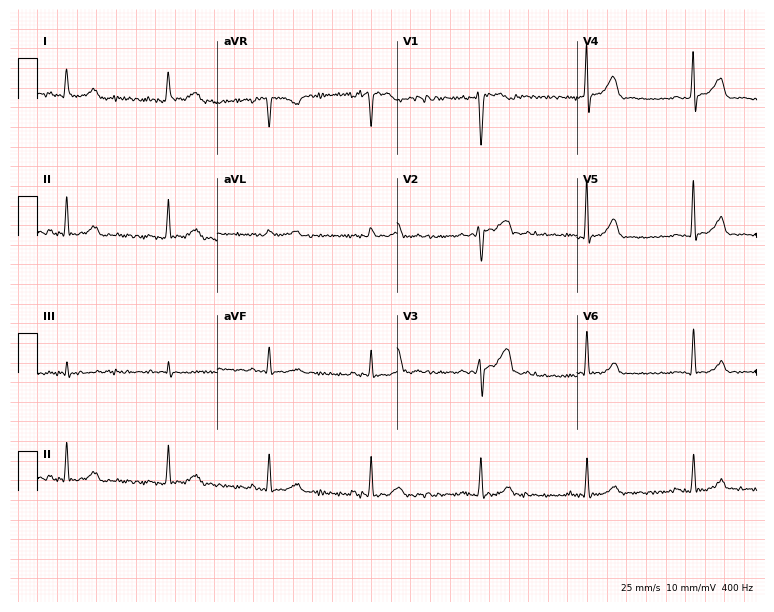
12-lead ECG from a male, 31 years old. No first-degree AV block, right bundle branch block (RBBB), left bundle branch block (LBBB), sinus bradycardia, atrial fibrillation (AF) or sinus tachycardia recorded for this tracing.